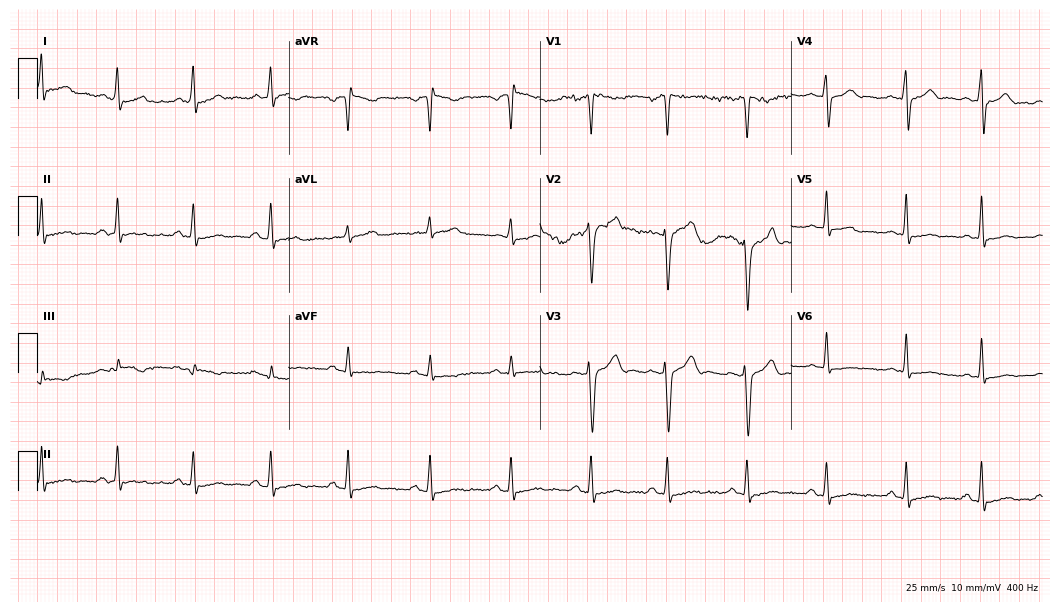
12-lead ECG (10.2-second recording at 400 Hz) from a male, 32 years old. Screened for six findings — first-degree AV block, right bundle branch block, left bundle branch block, sinus bradycardia, atrial fibrillation, sinus tachycardia — none is recorded. Findings outside these six are not listed.